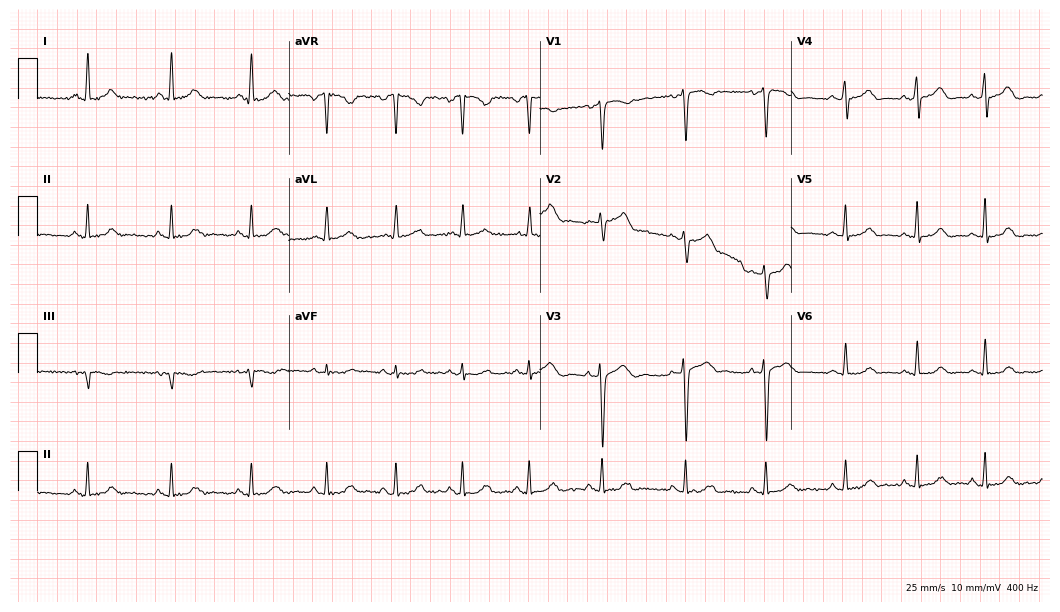
Standard 12-lead ECG recorded from a female, 35 years old. Read as a normal ECG.